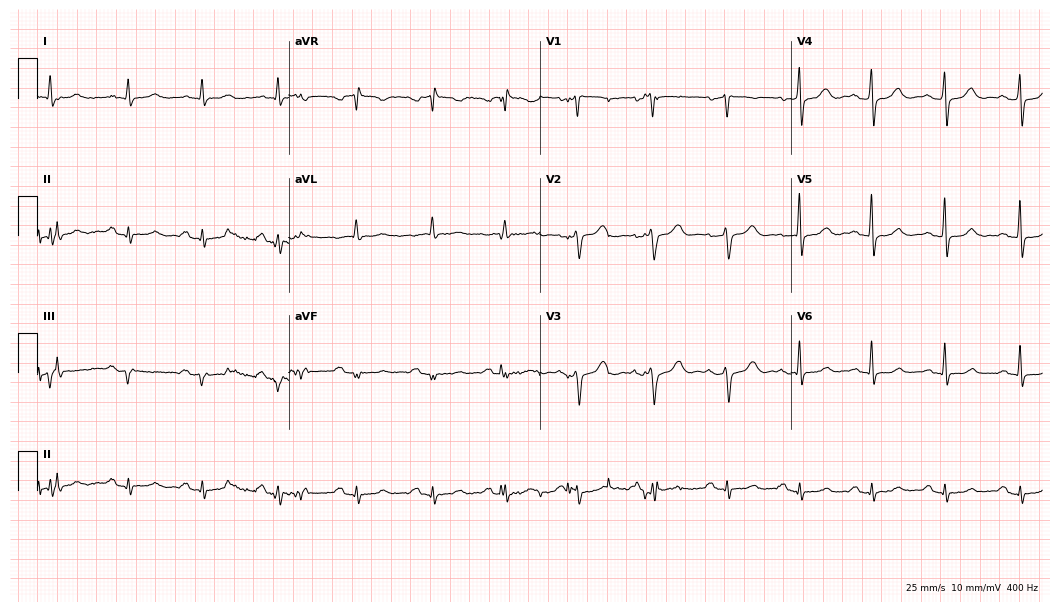
ECG (10.2-second recording at 400 Hz) — a 67-year-old male. Screened for six findings — first-degree AV block, right bundle branch block (RBBB), left bundle branch block (LBBB), sinus bradycardia, atrial fibrillation (AF), sinus tachycardia — none is recorded. Findings outside these six are not listed.